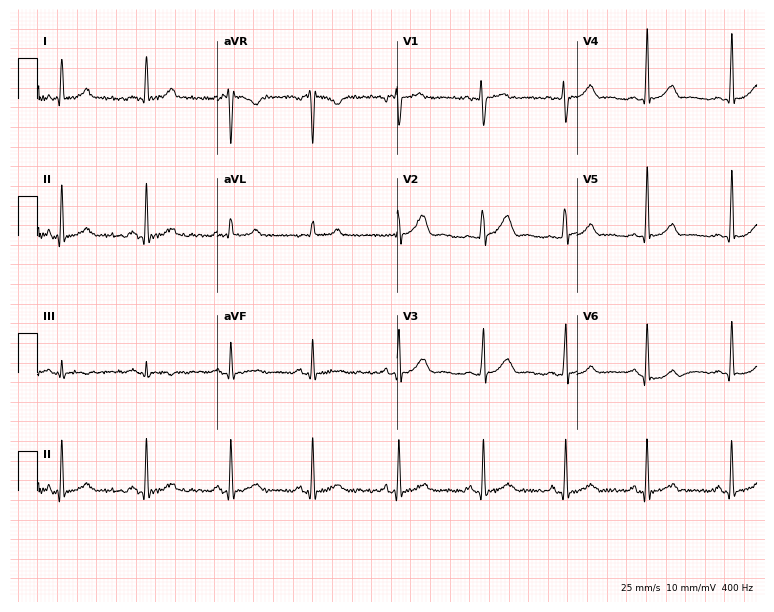
ECG — a 44-year-old female. Labelled as a normal ECG.